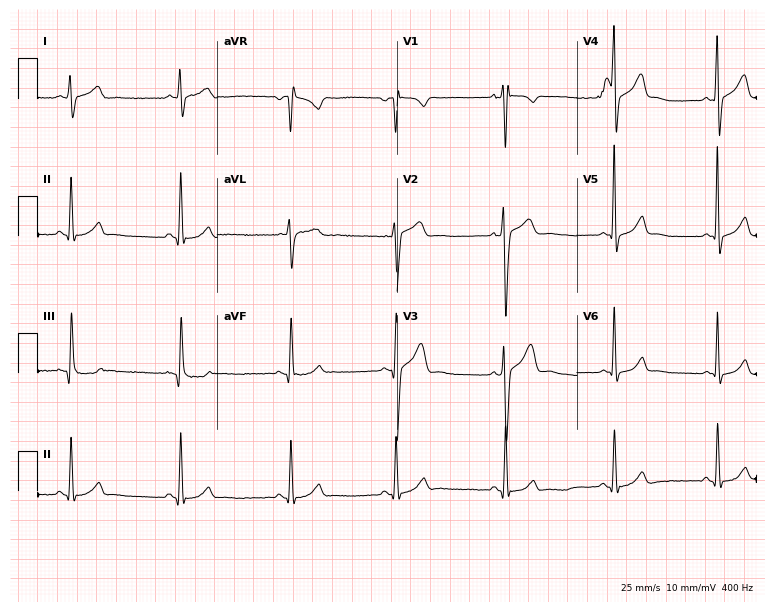
ECG — a 46-year-old male patient. Screened for six findings — first-degree AV block, right bundle branch block, left bundle branch block, sinus bradycardia, atrial fibrillation, sinus tachycardia — none is recorded.